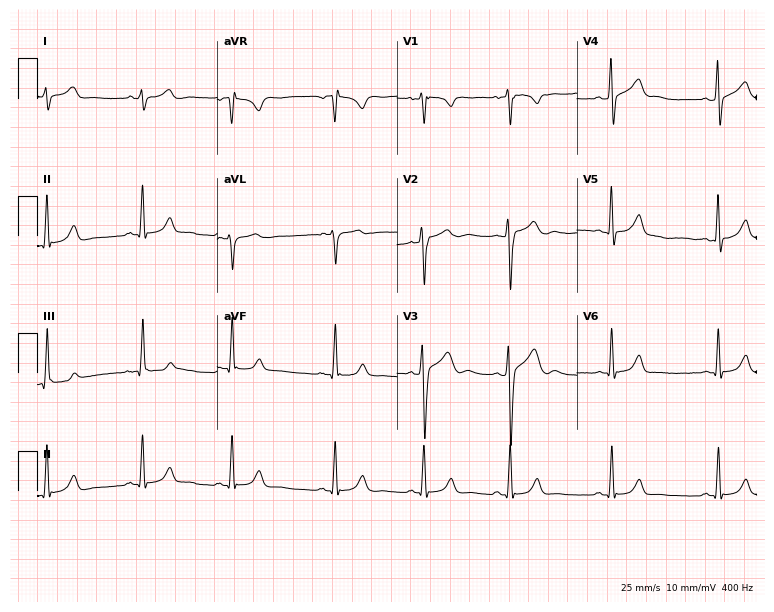
ECG — a 22-year-old male patient. Screened for six findings — first-degree AV block, right bundle branch block (RBBB), left bundle branch block (LBBB), sinus bradycardia, atrial fibrillation (AF), sinus tachycardia — none is recorded. Other findings, if any, are not listed.